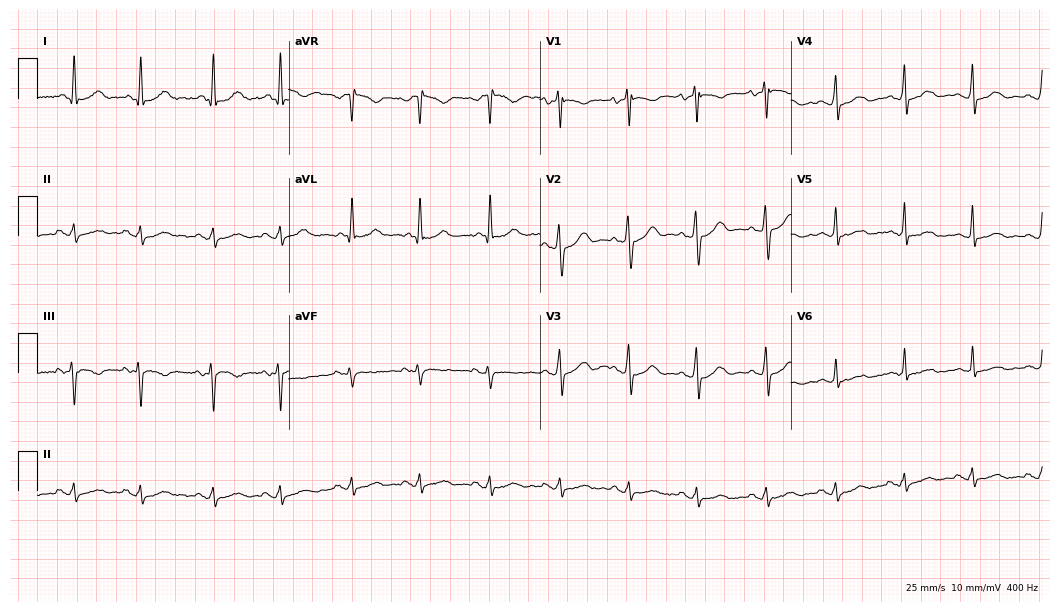
Resting 12-lead electrocardiogram. Patient: a male, 81 years old. Read as a normal ECG.